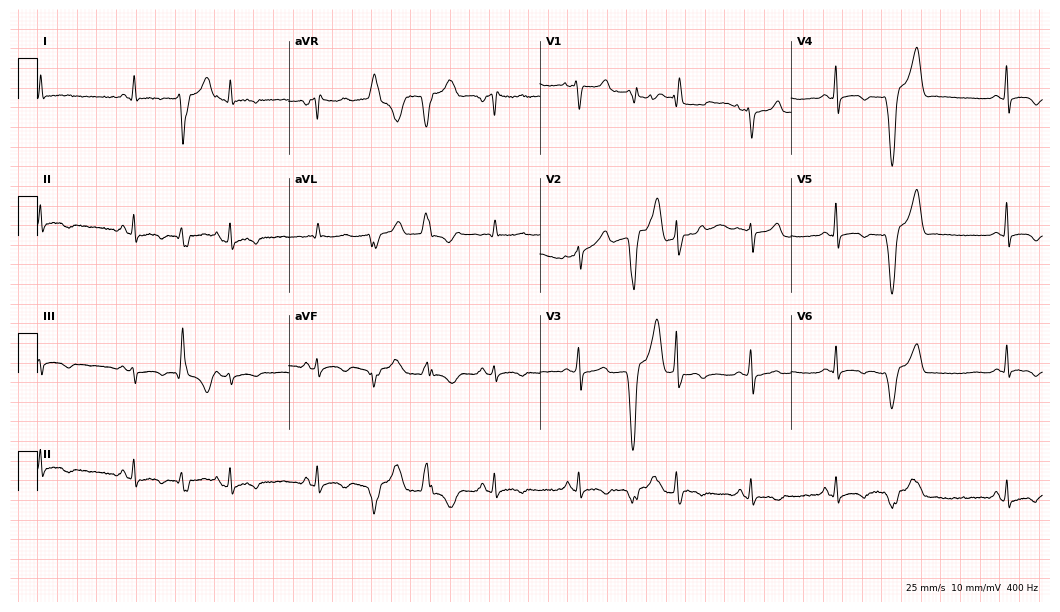
12-lead ECG from a 42-year-old female patient. Screened for six findings — first-degree AV block, right bundle branch block, left bundle branch block, sinus bradycardia, atrial fibrillation, sinus tachycardia — none is recorded.